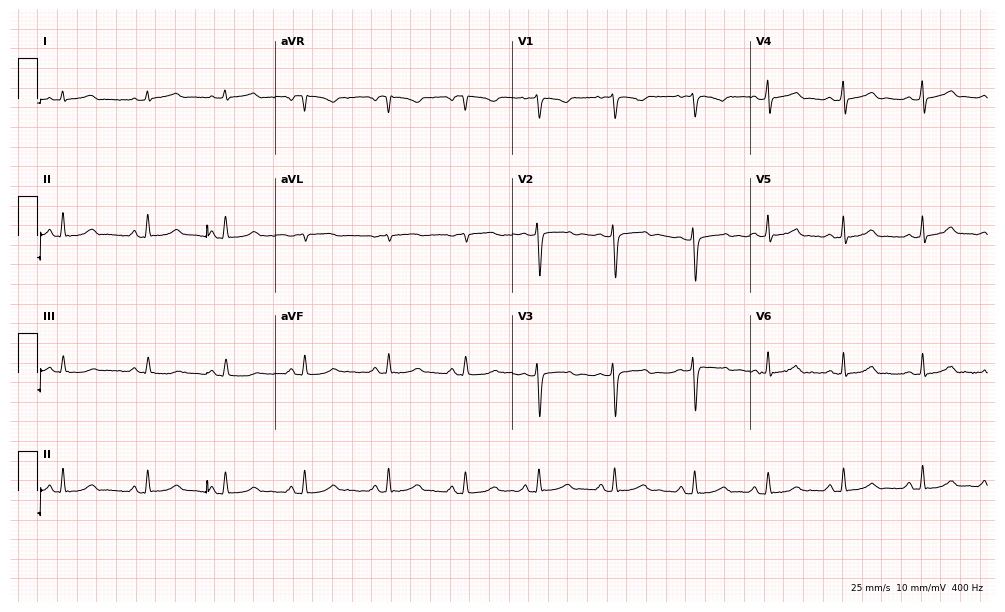
Electrocardiogram, an 18-year-old female. Overall reading on record: normal ECG.